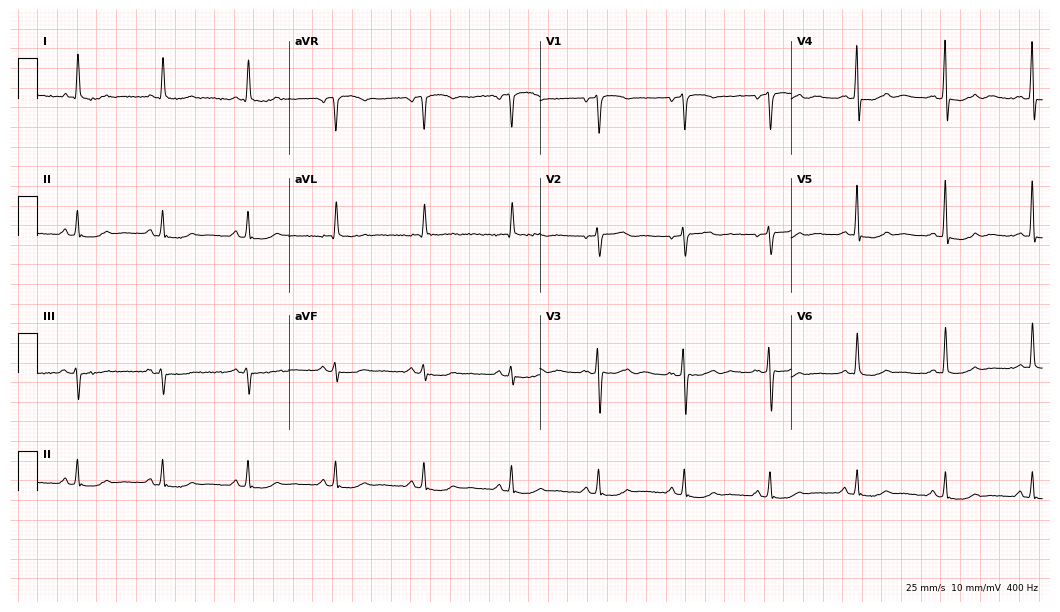
12-lead ECG from a 77-year-old woman. Screened for six findings — first-degree AV block, right bundle branch block, left bundle branch block, sinus bradycardia, atrial fibrillation, sinus tachycardia — none is recorded. Other findings, if any, are not listed.